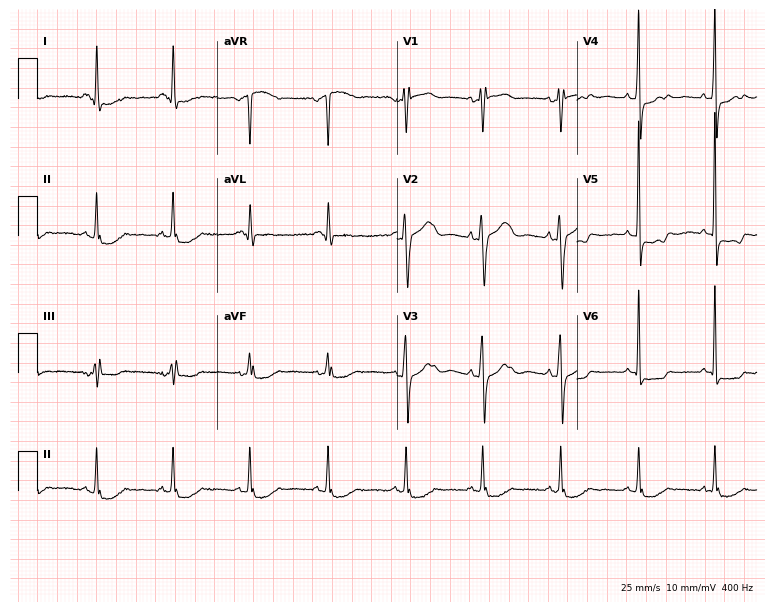
Resting 12-lead electrocardiogram. Patient: a female, 78 years old. Read as a normal ECG.